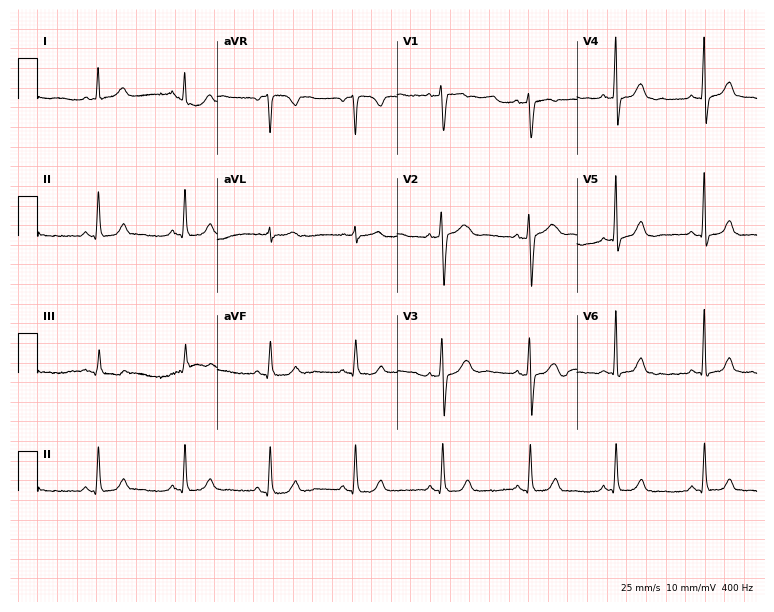
Resting 12-lead electrocardiogram (7.3-second recording at 400 Hz). Patient: a female, 38 years old. Read as a normal ECG.